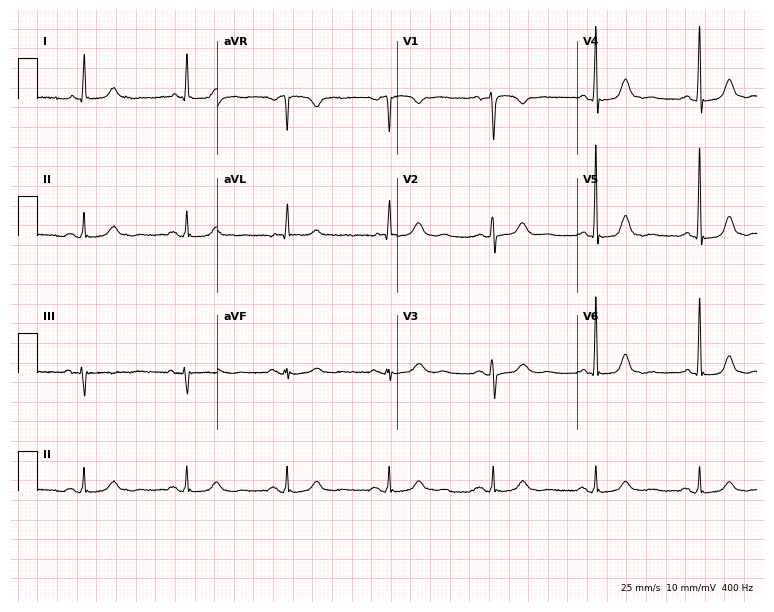
Electrocardiogram (7.3-second recording at 400 Hz), a female, 73 years old. Overall reading on record: normal ECG.